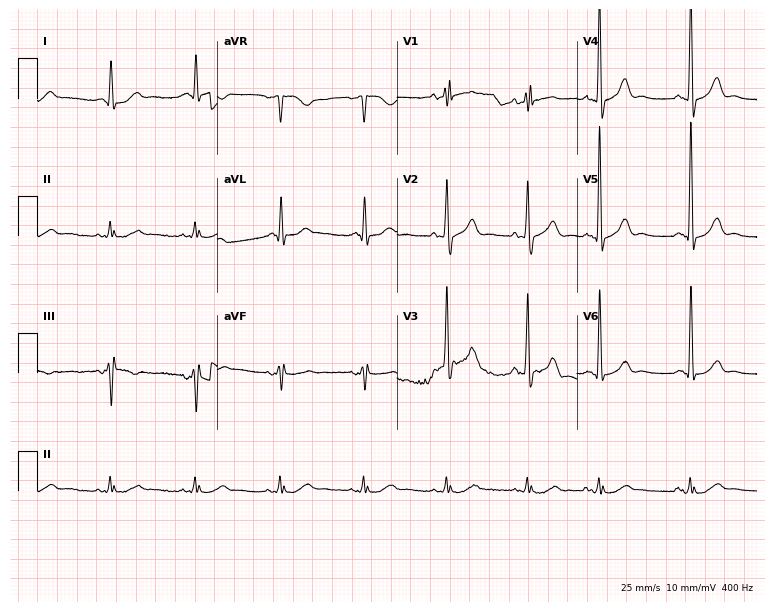
12-lead ECG from an 86-year-old male patient (7.3-second recording at 400 Hz). No first-degree AV block, right bundle branch block, left bundle branch block, sinus bradycardia, atrial fibrillation or sinus tachycardia recorded for this tracing. Findings outside these six are not listed.